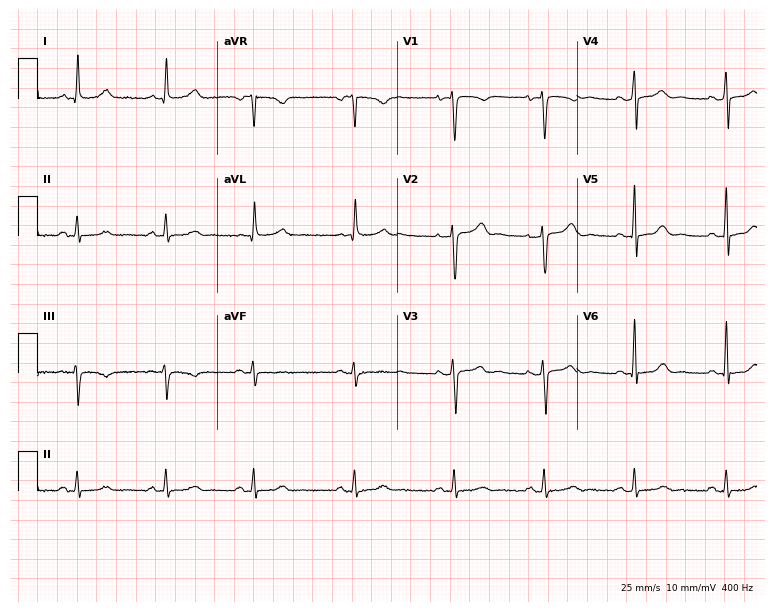
Standard 12-lead ECG recorded from a woman, 38 years old. None of these six findings is recorded: first-degree AV block, right bundle branch block, left bundle branch block, sinus bradycardia, atrial fibrillation, sinus tachycardia.